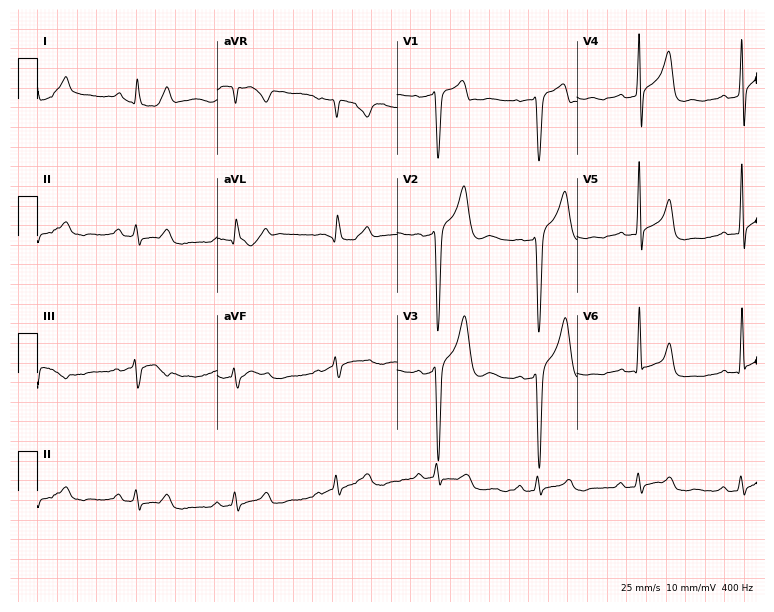
12-lead ECG from a man, 36 years old. Screened for six findings — first-degree AV block, right bundle branch block, left bundle branch block, sinus bradycardia, atrial fibrillation, sinus tachycardia — none is recorded. Other findings, if any, are not listed.